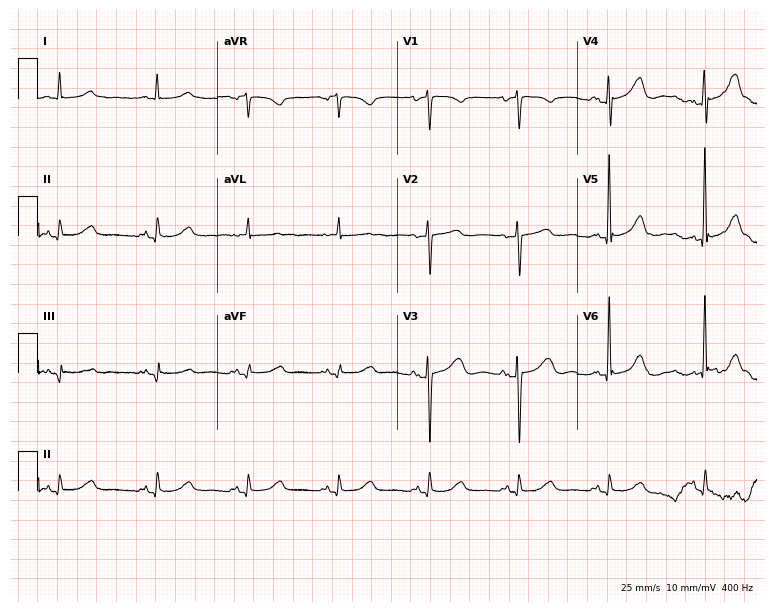
12-lead ECG from an 82-year-old woman (7.3-second recording at 400 Hz). No first-degree AV block, right bundle branch block, left bundle branch block, sinus bradycardia, atrial fibrillation or sinus tachycardia recorded for this tracing.